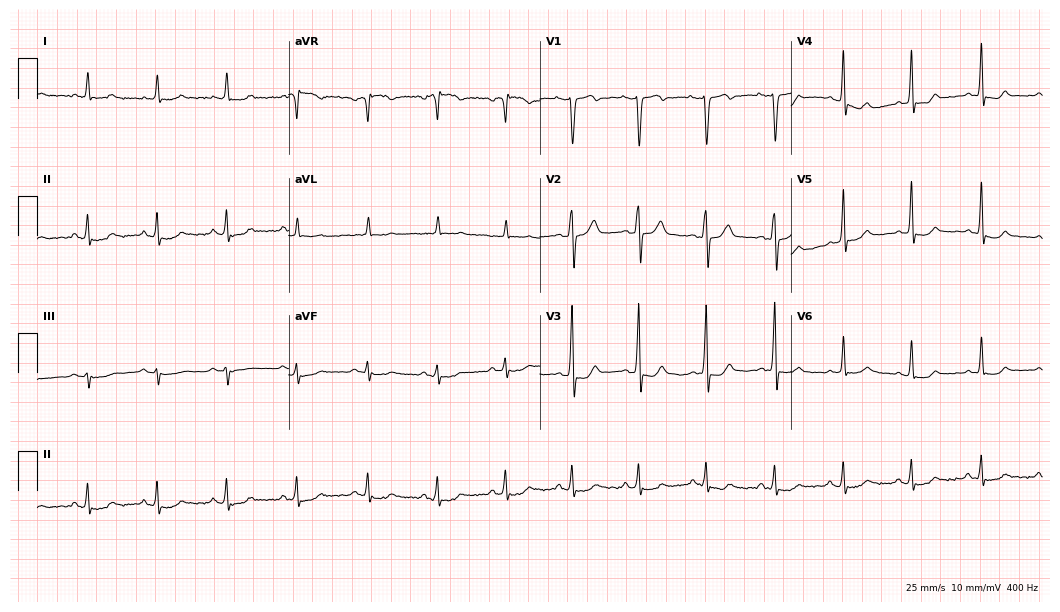
Electrocardiogram (10.2-second recording at 400 Hz), a 71-year-old female patient. Of the six screened findings (first-degree AV block, right bundle branch block, left bundle branch block, sinus bradycardia, atrial fibrillation, sinus tachycardia), none is recorded. Findings outside these six are not listed.